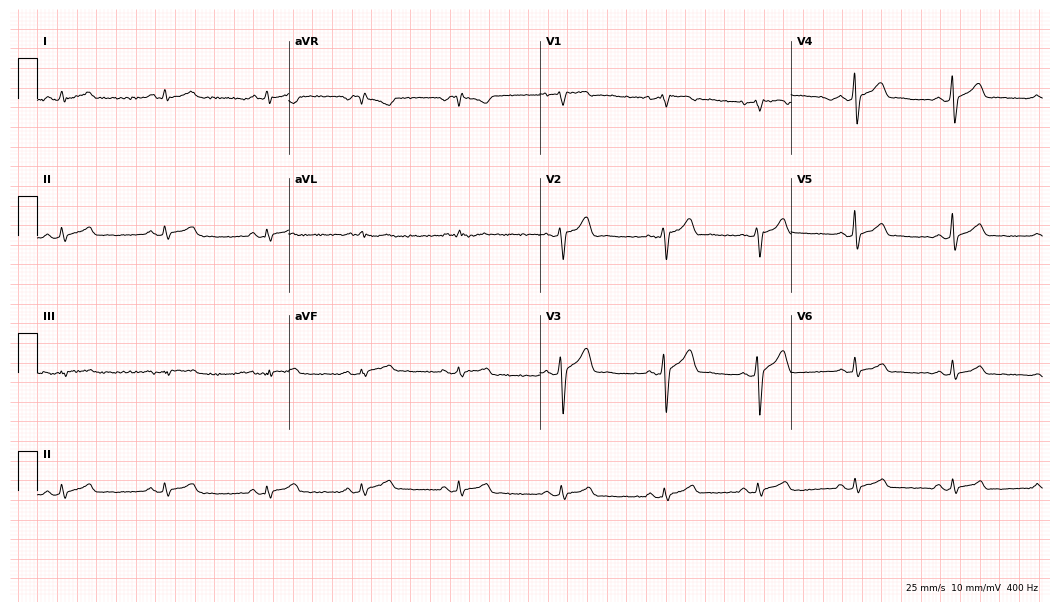
Electrocardiogram (10.2-second recording at 400 Hz), a man, 27 years old. Overall reading on record: normal ECG.